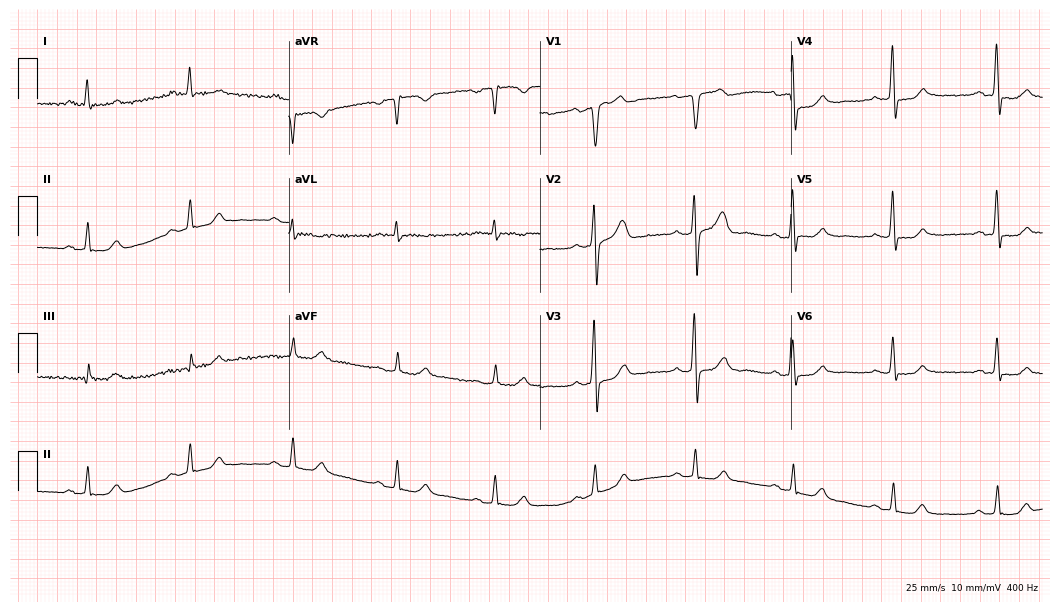
Electrocardiogram, a 58-year-old male patient. Overall reading on record: normal ECG.